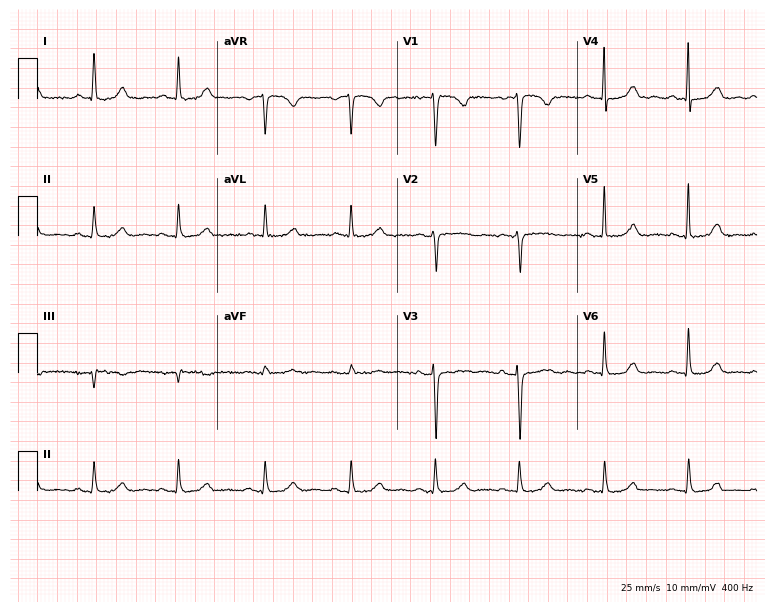
Electrocardiogram, a woman, 47 years old. Overall reading on record: normal ECG.